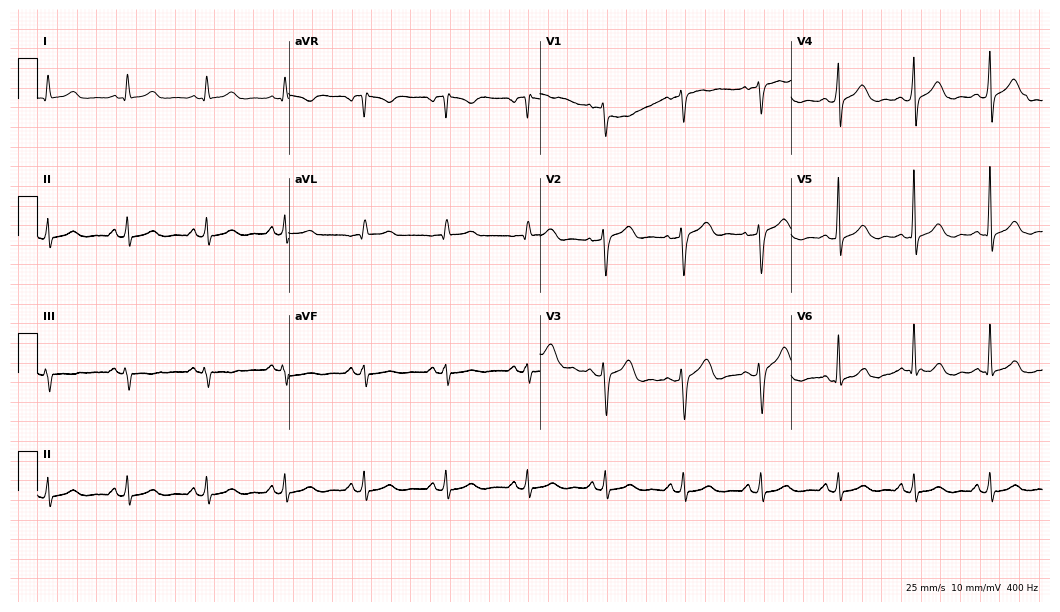
ECG (10.2-second recording at 400 Hz) — a woman, 43 years old. Labelled as a normal ECG.